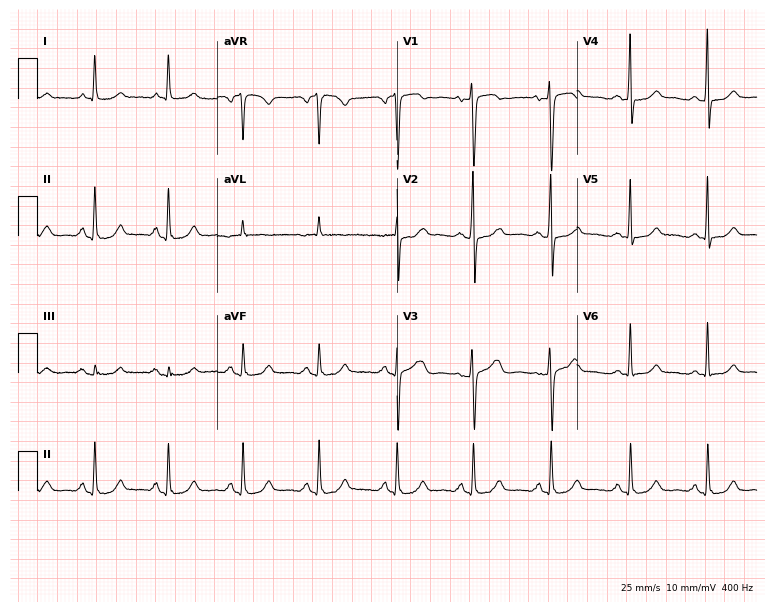
ECG — a female, 51 years old. Labelled as a normal ECG.